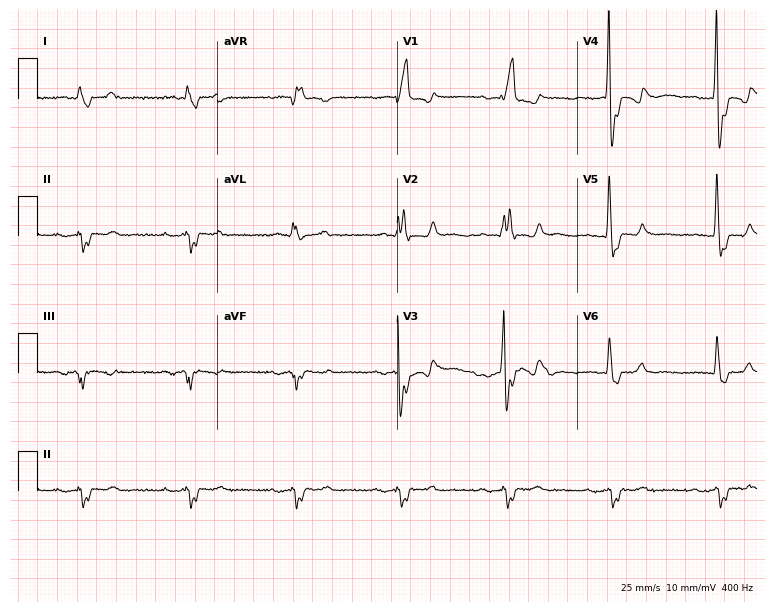
Resting 12-lead electrocardiogram. Patient: a 79-year-old male. The tracing shows first-degree AV block, right bundle branch block.